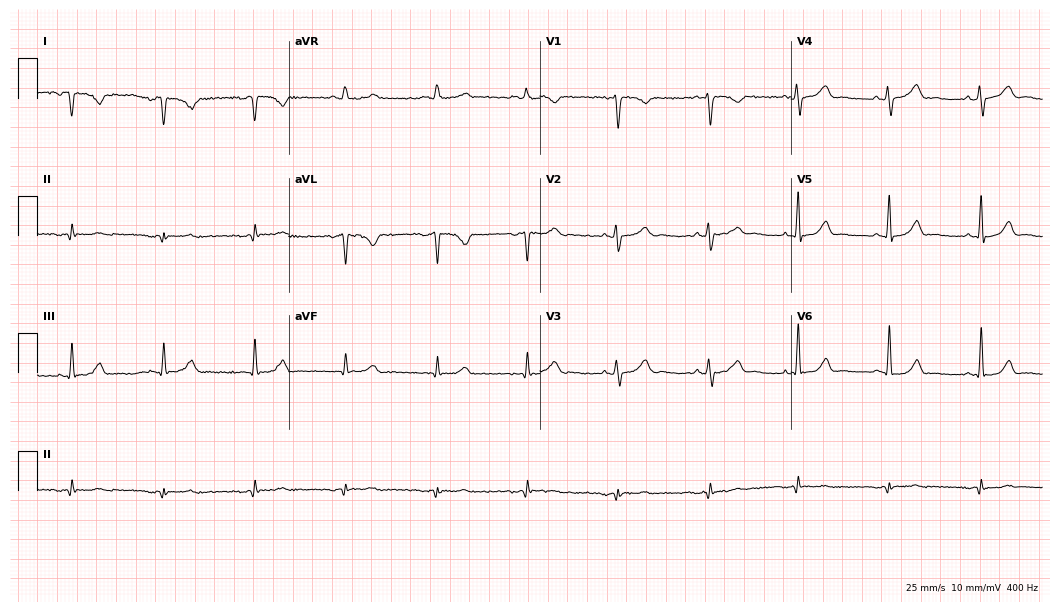
Standard 12-lead ECG recorded from a female, 36 years old. None of these six findings is recorded: first-degree AV block, right bundle branch block, left bundle branch block, sinus bradycardia, atrial fibrillation, sinus tachycardia. Only these six findings were labelled.